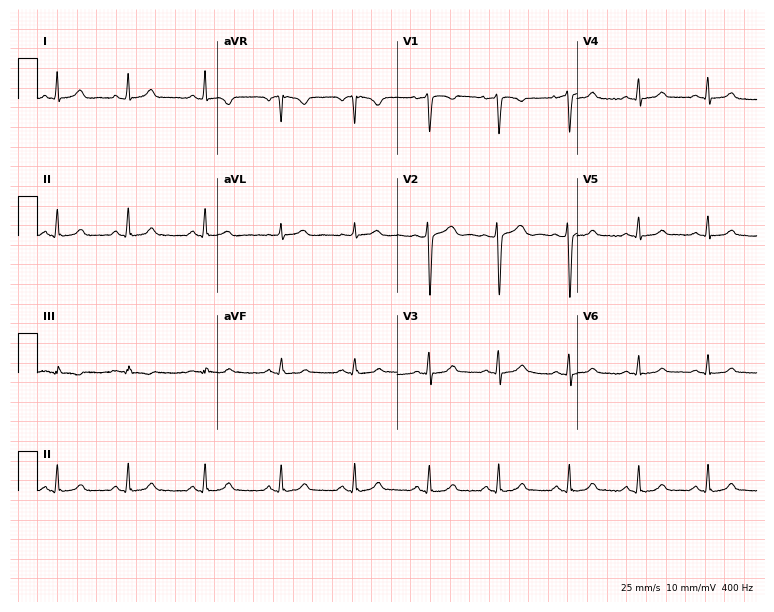
12-lead ECG (7.3-second recording at 400 Hz) from a female patient, 30 years old. Labelled as a normal ECG.